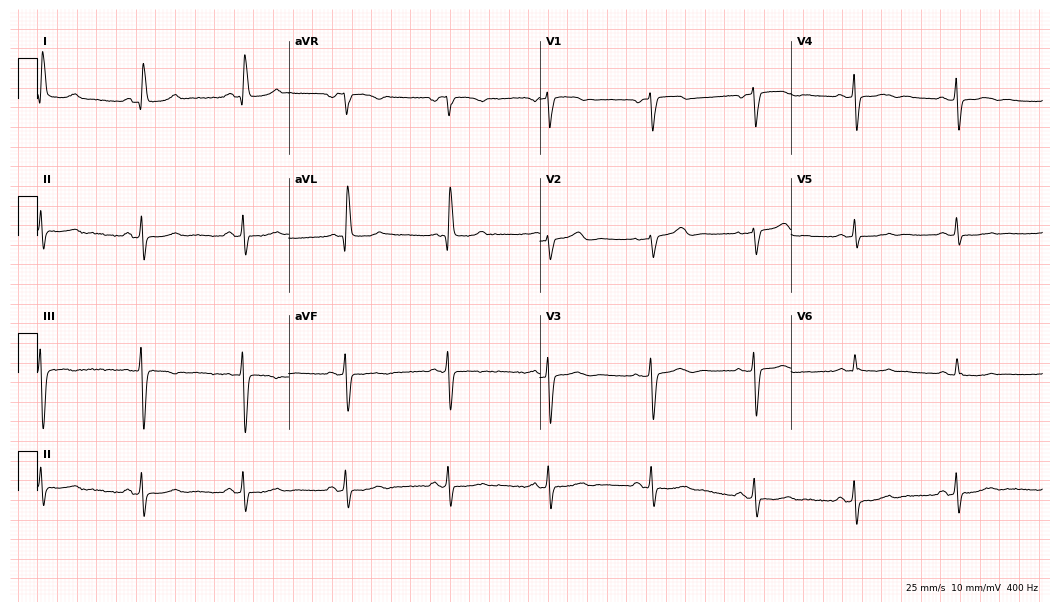
Resting 12-lead electrocardiogram. Patient: a female, 67 years old. None of these six findings is recorded: first-degree AV block, right bundle branch block, left bundle branch block, sinus bradycardia, atrial fibrillation, sinus tachycardia. Only these six findings were labelled.